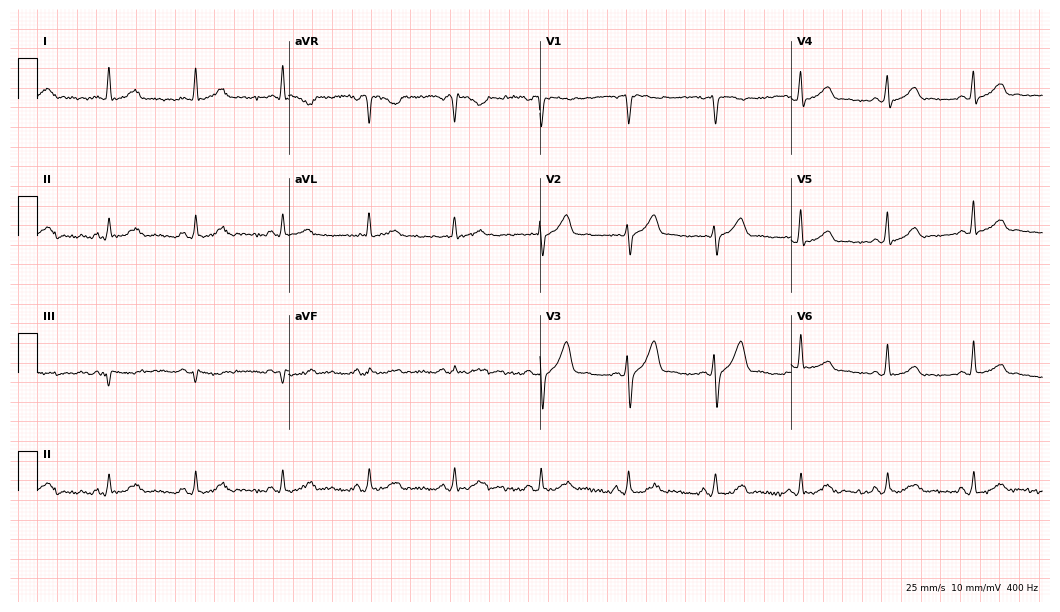
12-lead ECG (10.2-second recording at 400 Hz) from a 50-year-old male. Labelled as a normal ECG.